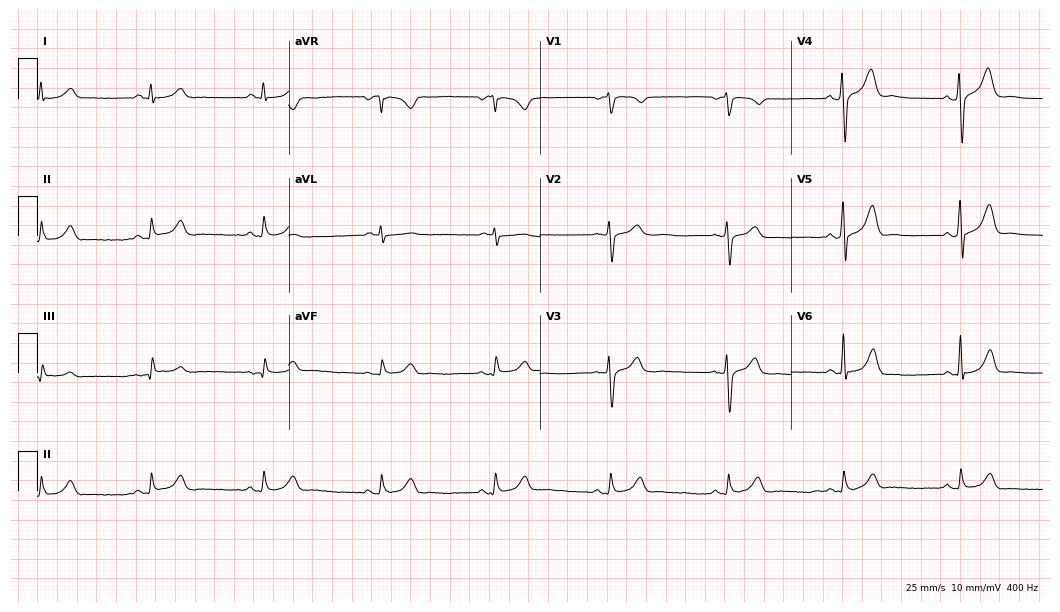
Resting 12-lead electrocardiogram. Patient: a 53-year-old man. None of these six findings is recorded: first-degree AV block, right bundle branch block, left bundle branch block, sinus bradycardia, atrial fibrillation, sinus tachycardia. Findings outside these six are not listed.